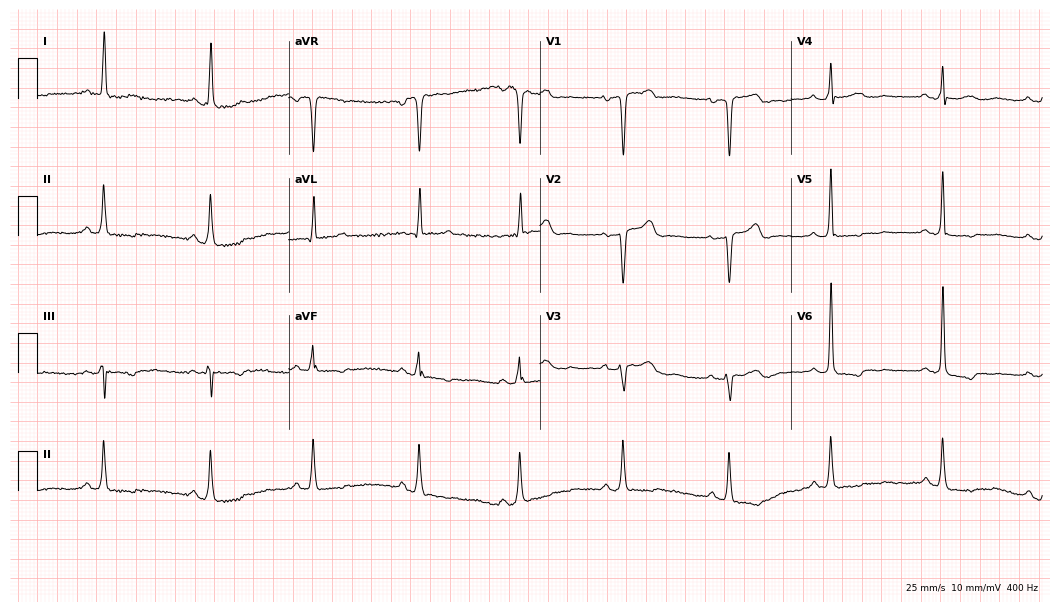
Standard 12-lead ECG recorded from a 50-year-old female patient (10.2-second recording at 400 Hz). None of these six findings is recorded: first-degree AV block, right bundle branch block, left bundle branch block, sinus bradycardia, atrial fibrillation, sinus tachycardia. Other findings, if any, are not listed.